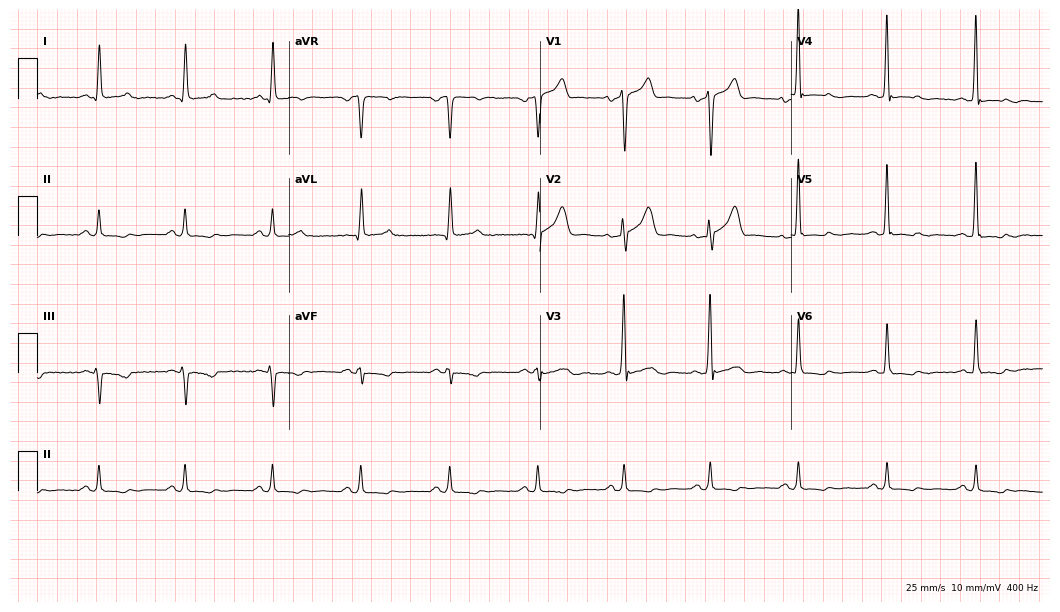
ECG (10.2-second recording at 400 Hz) — a 60-year-old male patient. Labelled as a normal ECG.